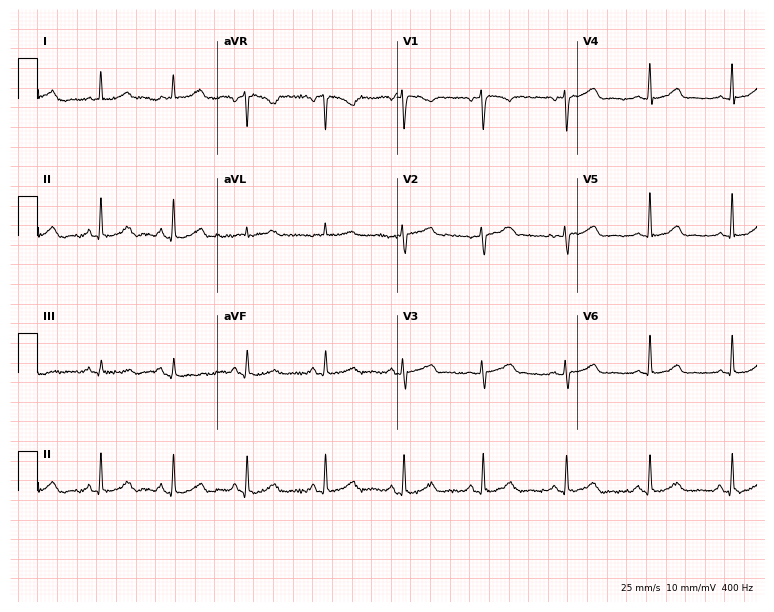
12-lead ECG from a female patient, 47 years old. No first-degree AV block, right bundle branch block (RBBB), left bundle branch block (LBBB), sinus bradycardia, atrial fibrillation (AF) or sinus tachycardia recorded for this tracing. Findings outside these six are not listed.